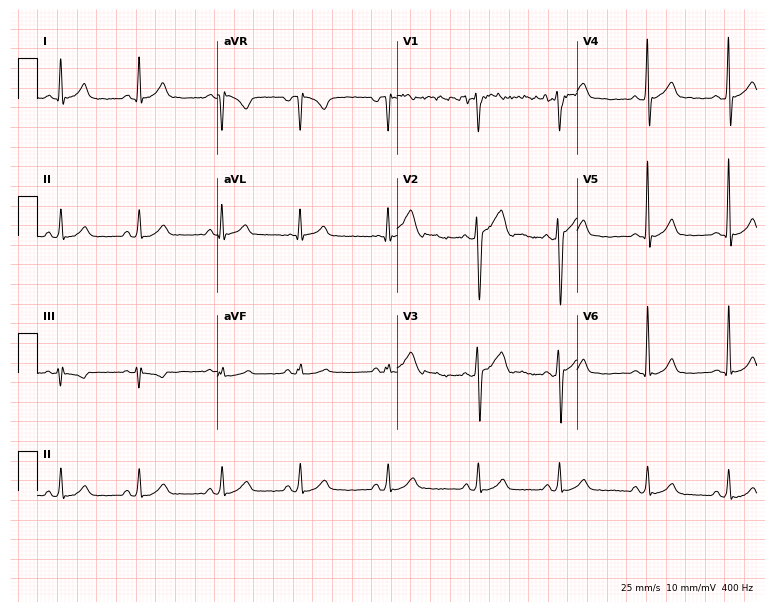
ECG — a 20-year-old male patient. Screened for six findings — first-degree AV block, right bundle branch block, left bundle branch block, sinus bradycardia, atrial fibrillation, sinus tachycardia — none is recorded. Only these six findings were labelled.